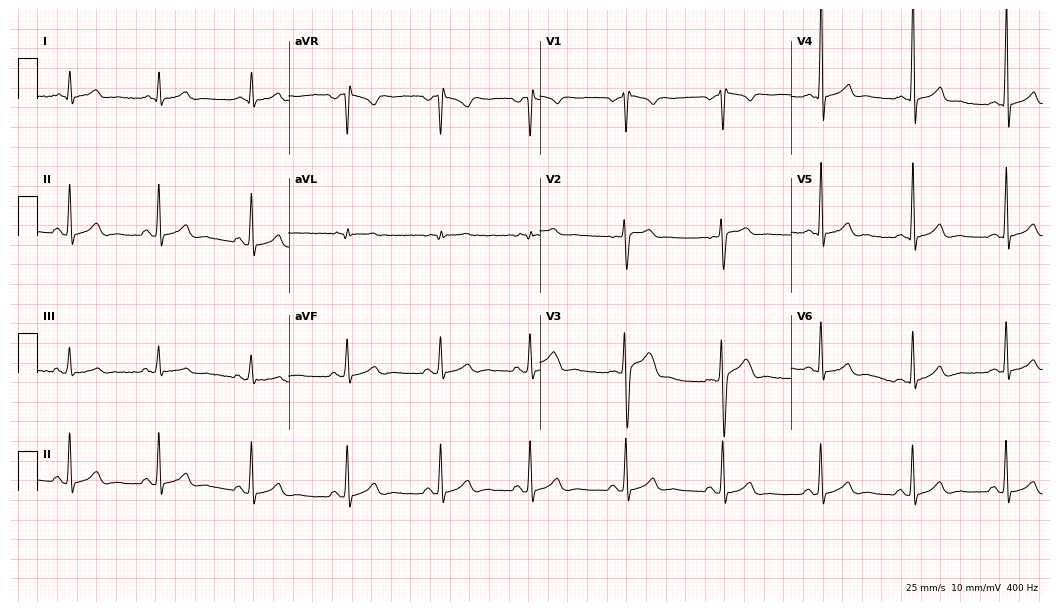
Electrocardiogram (10.2-second recording at 400 Hz), a male, 27 years old. Of the six screened findings (first-degree AV block, right bundle branch block, left bundle branch block, sinus bradycardia, atrial fibrillation, sinus tachycardia), none is recorded.